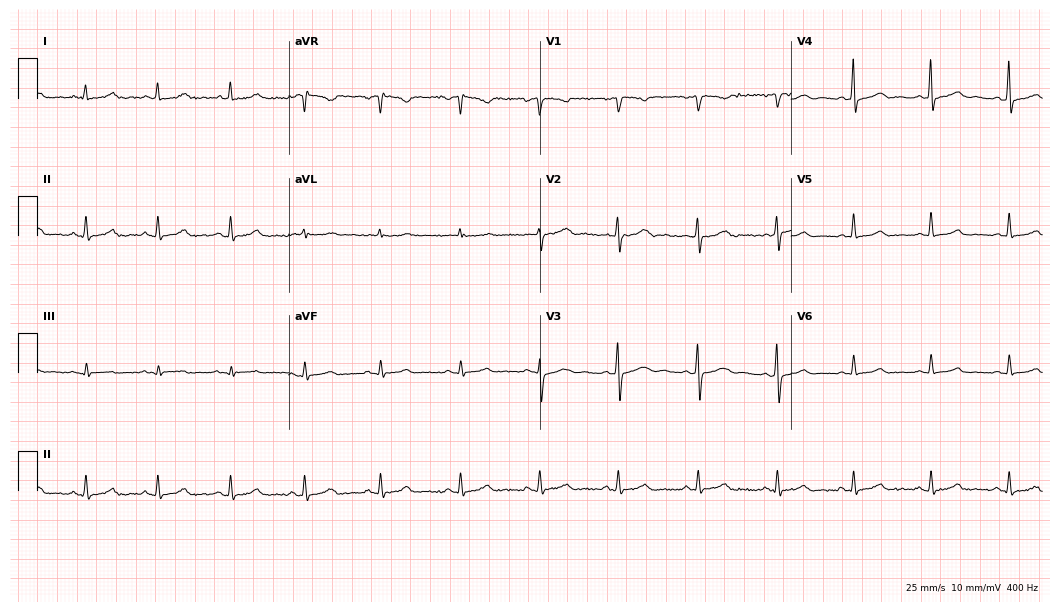
12-lead ECG (10.2-second recording at 400 Hz) from a 46-year-old female patient. Labelled as a normal ECG.